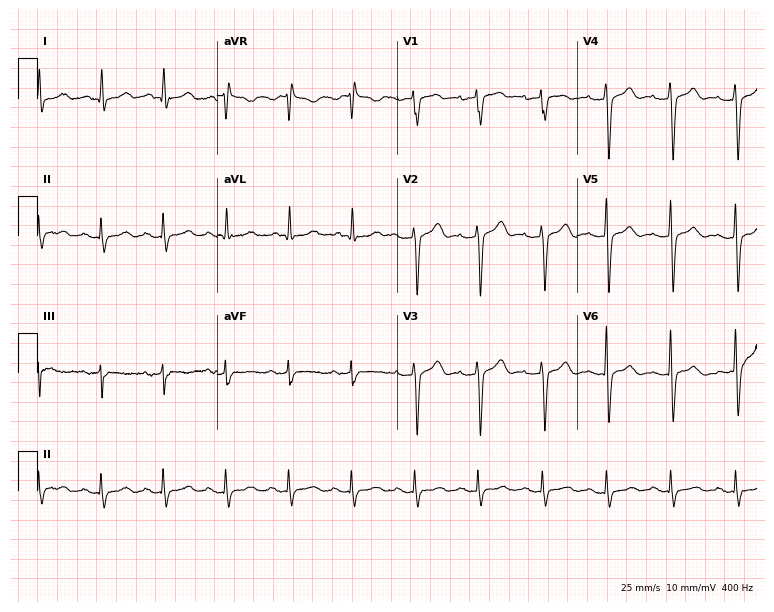
Resting 12-lead electrocardiogram. Patient: a 63-year-old female. None of these six findings is recorded: first-degree AV block, right bundle branch block, left bundle branch block, sinus bradycardia, atrial fibrillation, sinus tachycardia. Findings outside these six are not listed.